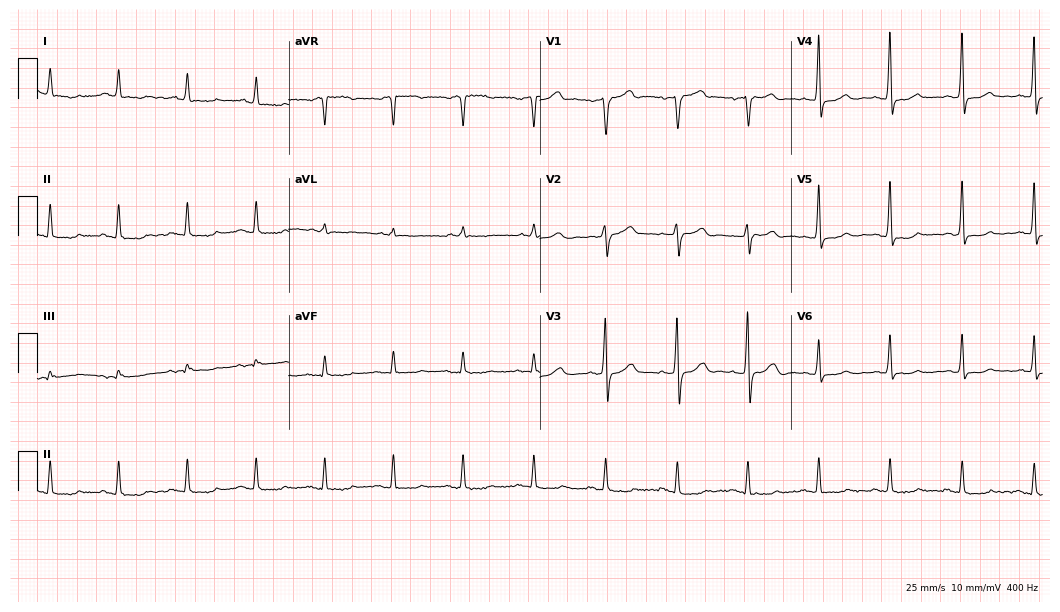
Standard 12-lead ECG recorded from a man, 74 years old. None of these six findings is recorded: first-degree AV block, right bundle branch block, left bundle branch block, sinus bradycardia, atrial fibrillation, sinus tachycardia.